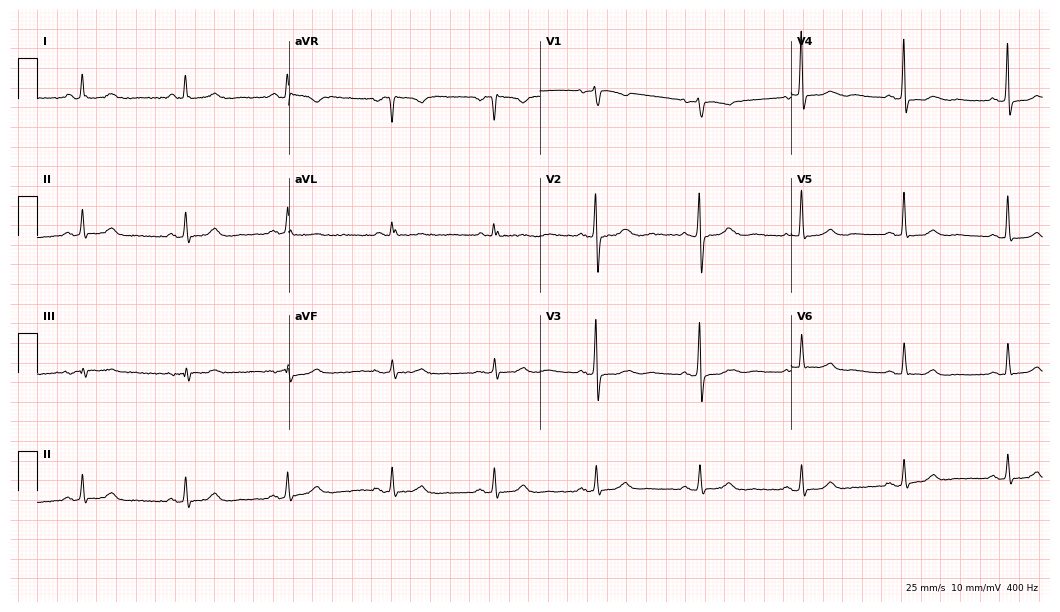
12-lead ECG (10.2-second recording at 400 Hz) from a woman, 71 years old. Screened for six findings — first-degree AV block, right bundle branch block (RBBB), left bundle branch block (LBBB), sinus bradycardia, atrial fibrillation (AF), sinus tachycardia — none is recorded.